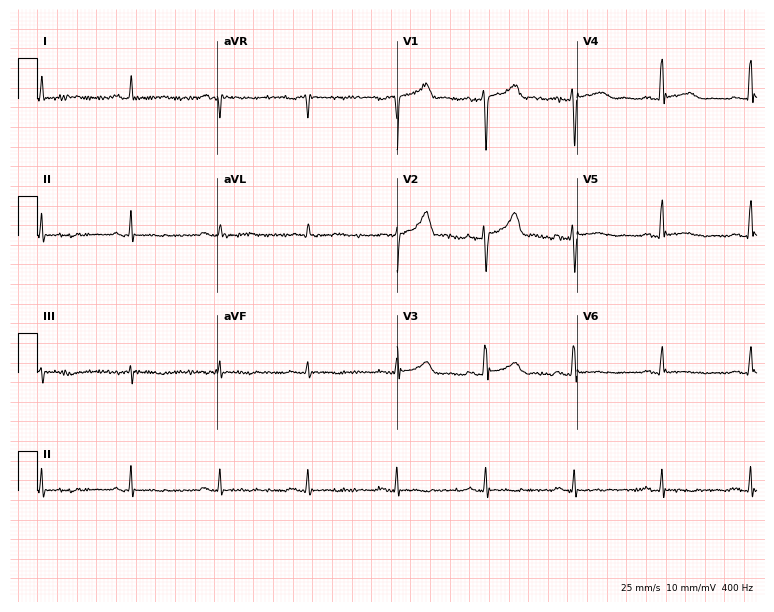
Resting 12-lead electrocardiogram. Patient: a 45-year-old male. None of these six findings is recorded: first-degree AV block, right bundle branch block, left bundle branch block, sinus bradycardia, atrial fibrillation, sinus tachycardia. Only these six findings were labelled.